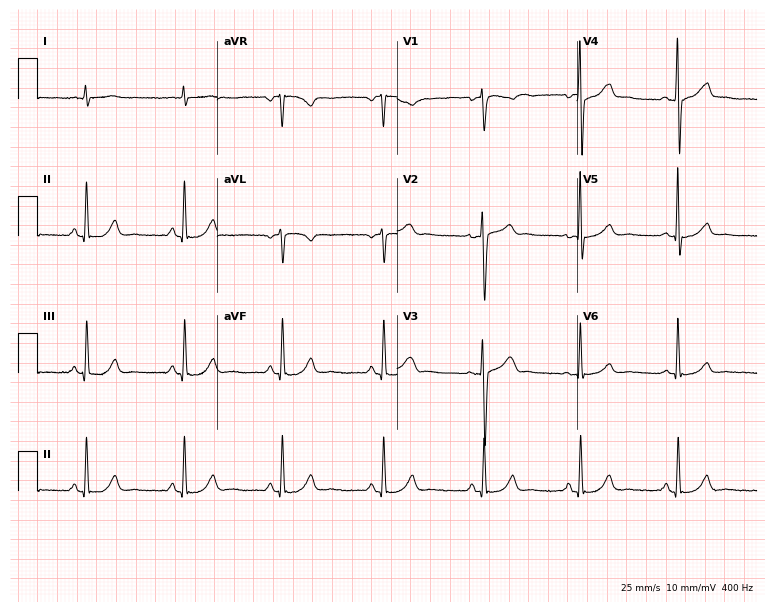
Resting 12-lead electrocardiogram (7.3-second recording at 400 Hz). Patient: a male, 61 years old. Read as a normal ECG.